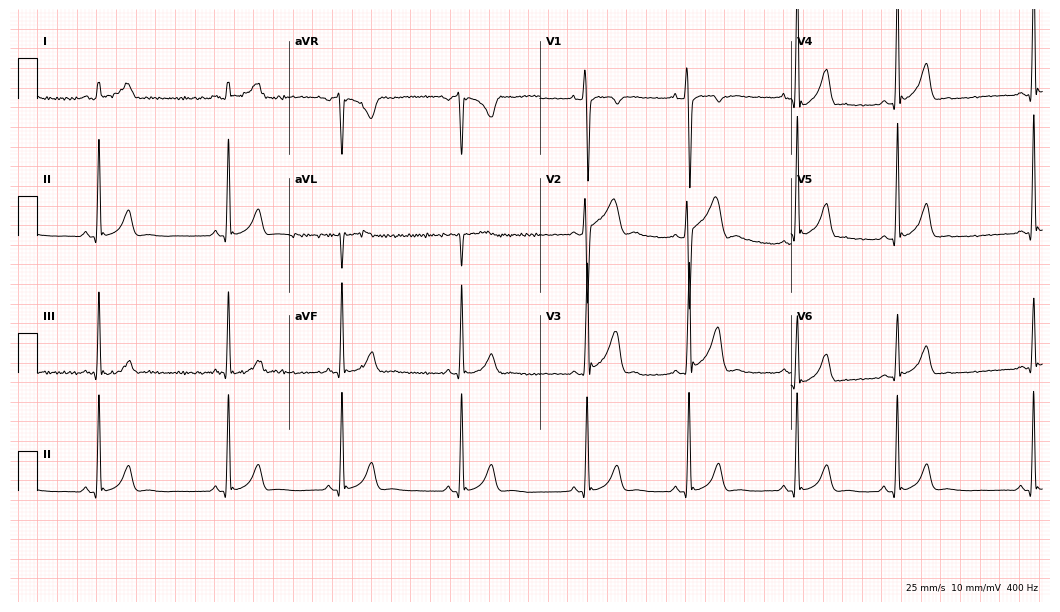
ECG (10.2-second recording at 400 Hz) — a 20-year-old male patient. Screened for six findings — first-degree AV block, right bundle branch block (RBBB), left bundle branch block (LBBB), sinus bradycardia, atrial fibrillation (AF), sinus tachycardia — none is recorded. Findings outside these six are not listed.